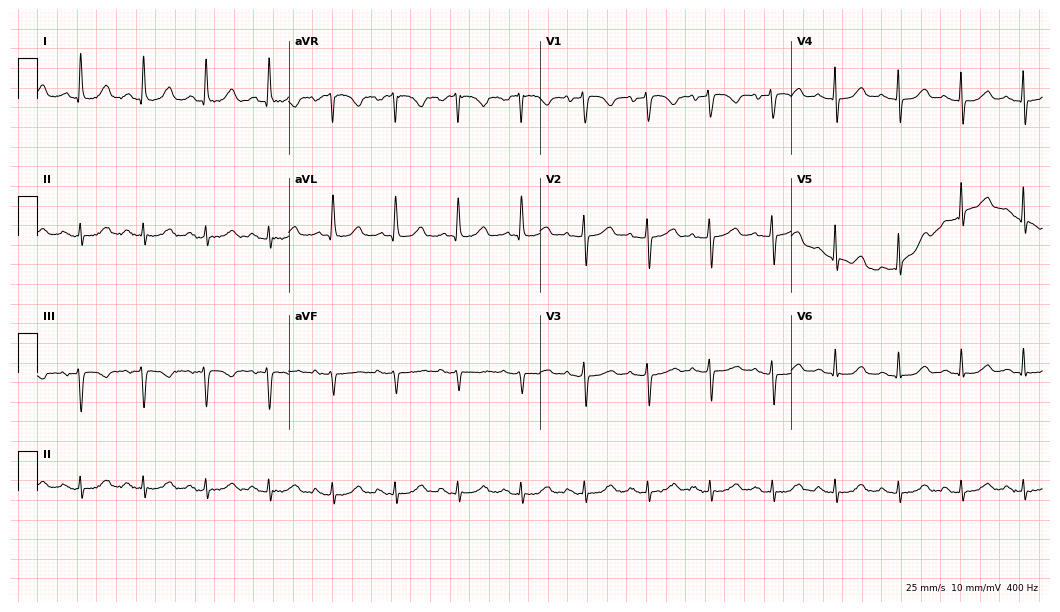
Standard 12-lead ECG recorded from a female patient, 74 years old (10.2-second recording at 400 Hz). Read as a normal ECG.